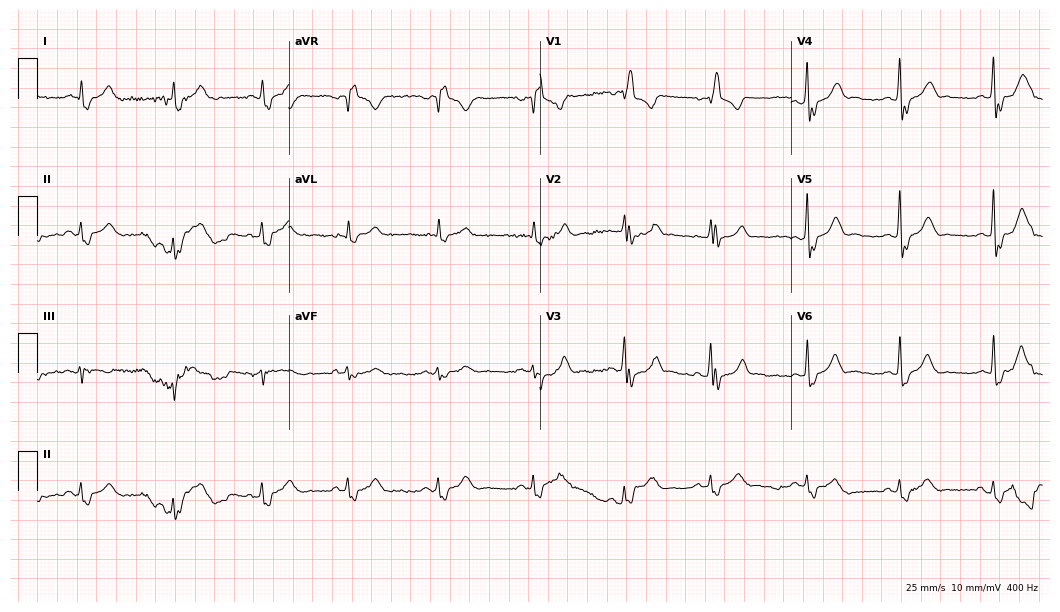
ECG — a 67-year-old male patient. Findings include right bundle branch block.